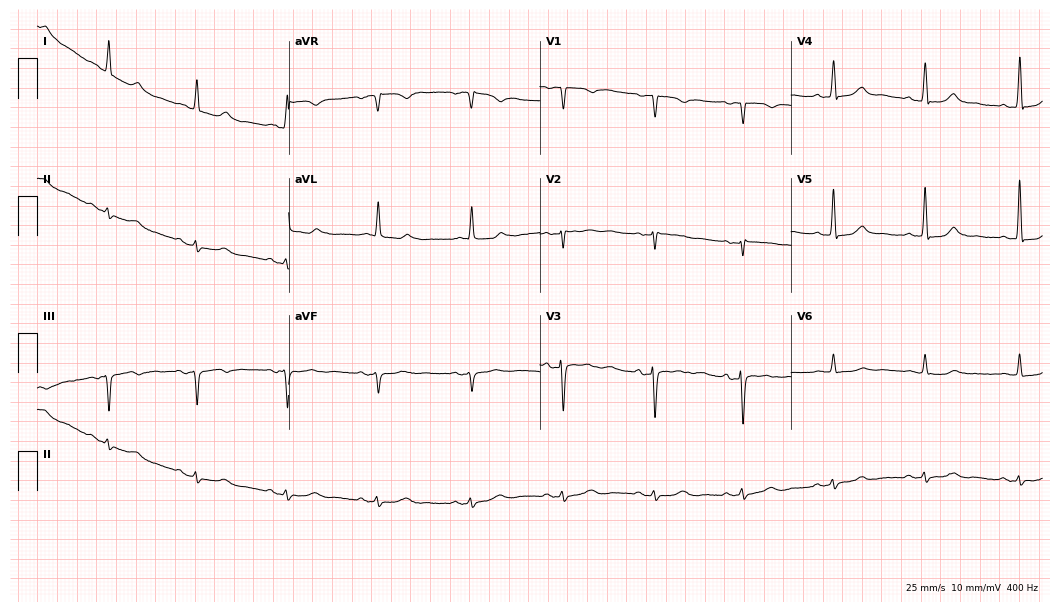
12-lead ECG from an 83-year-old woman. No first-degree AV block, right bundle branch block, left bundle branch block, sinus bradycardia, atrial fibrillation or sinus tachycardia recorded for this tracing.